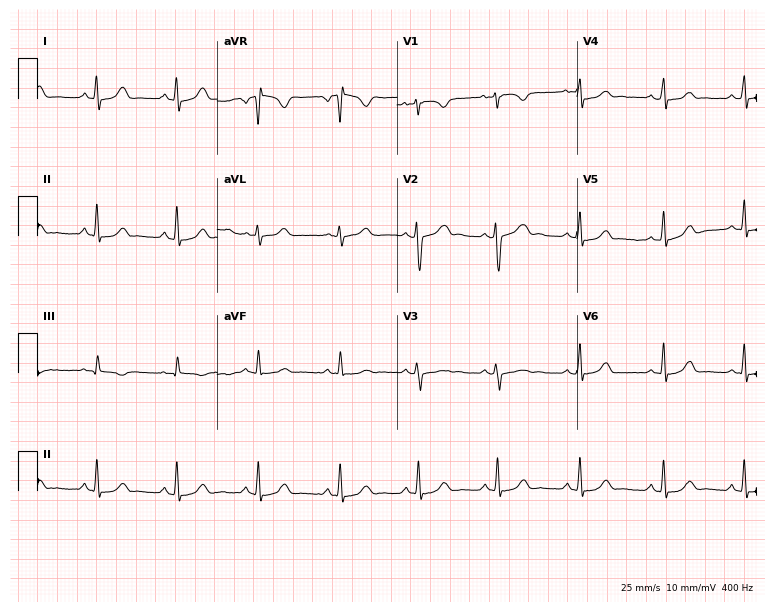
12-lead ECG from a 17-year-old female. No first-degree AV block, right bundle branch block (RBBB), left bundle branch block (LBBB), sinus bradycardia, atrial fibrillation (AF) or sinus tachycardia recorded for this tracing.